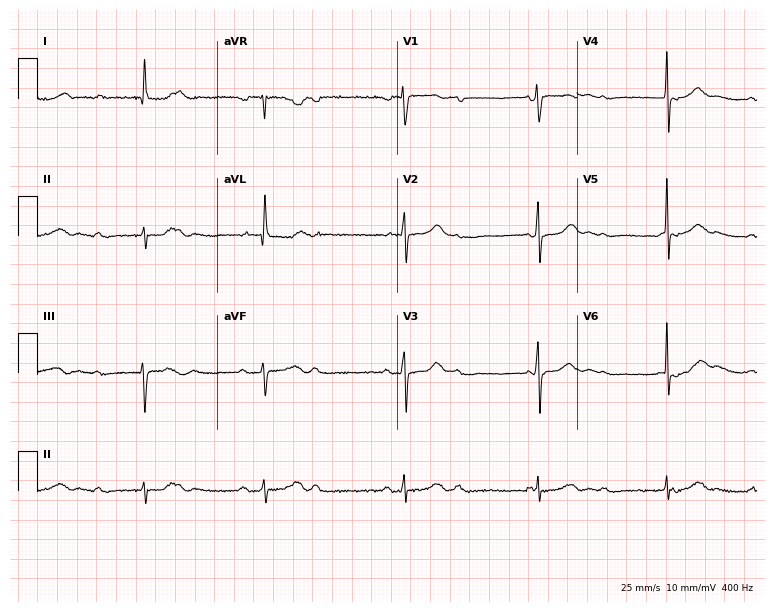
Standard 12-lead ECG recorded from a woman, 78 years old (7.3-second recording at 400 Hz). None of these six findings is recorded: first-degree AV block, right bundle branch block, left bundle branch block, sinus bradycardia, atrial fibrillation, sinus tachycardia. Only these six findings were labelled.